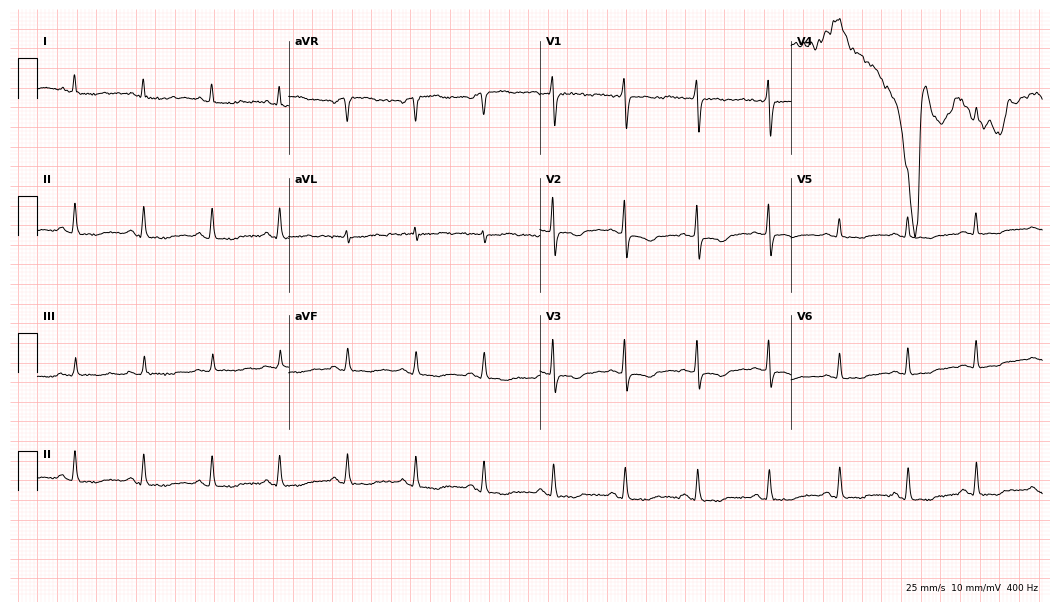
12-lead ECG from a 48-year-old woman. No first-degree AV block, right bundle branch block (RBBB), left bundle branch block (LBBB), sinus bradycardia, atrial fibrillation (AF) or sinus tachycardia recorded for this tracing.